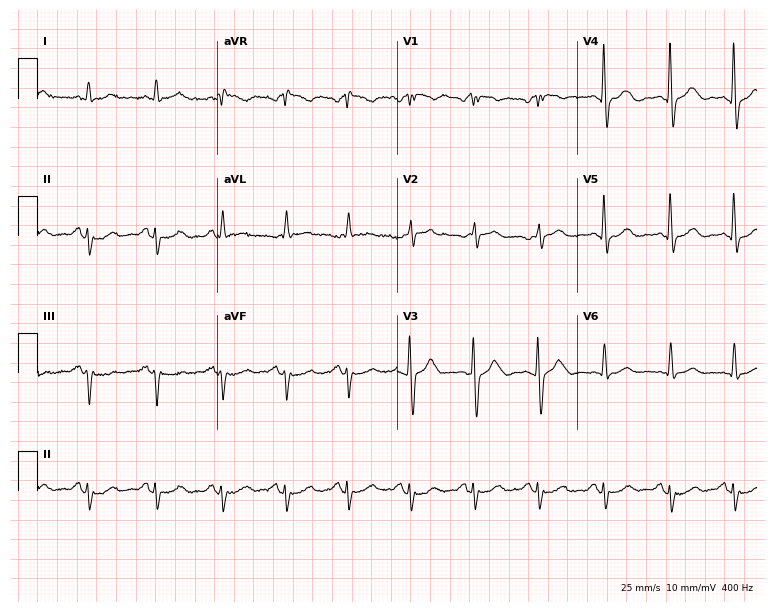
Electrocardiogram (7.3-second recording at 400 Hz), a man, 71 years old. Of the six screened findings (first-degree AV block, right bundle branch block, left bundle branch block, sinus bradycardia, atrial fibrillation, sinus tachycardia), none is recorded.